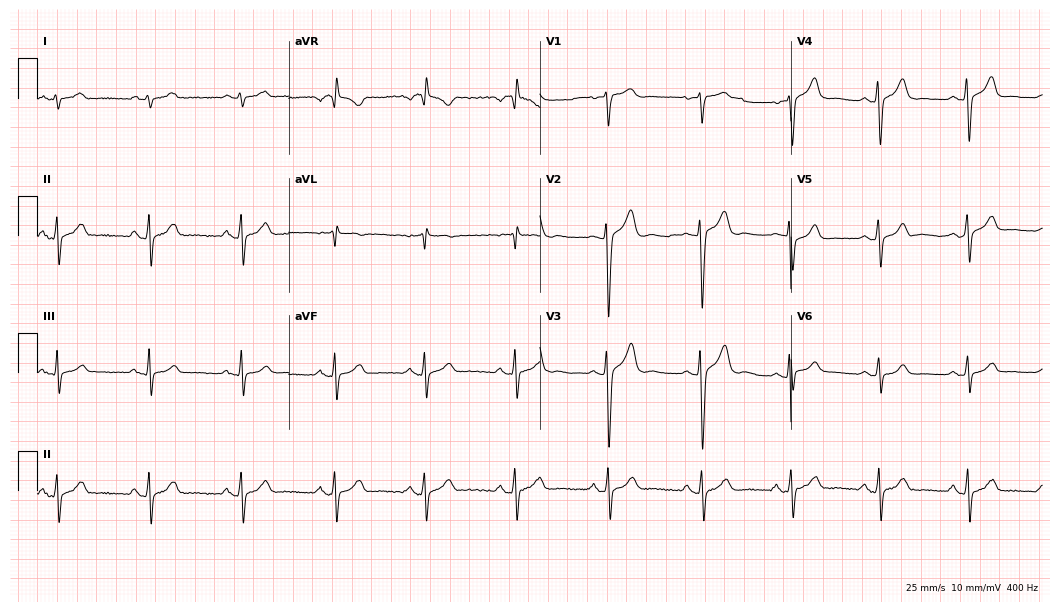
12-lead ECG from a male, 22 years old (10.2-second recording at 400 Hz). No first-degree AV block, right bundle branch block, left bundle branch block, sinus bradycardia, atrial fibrillation or sinus tachycardia recorded for this tracing. Only these six findings were labelled.